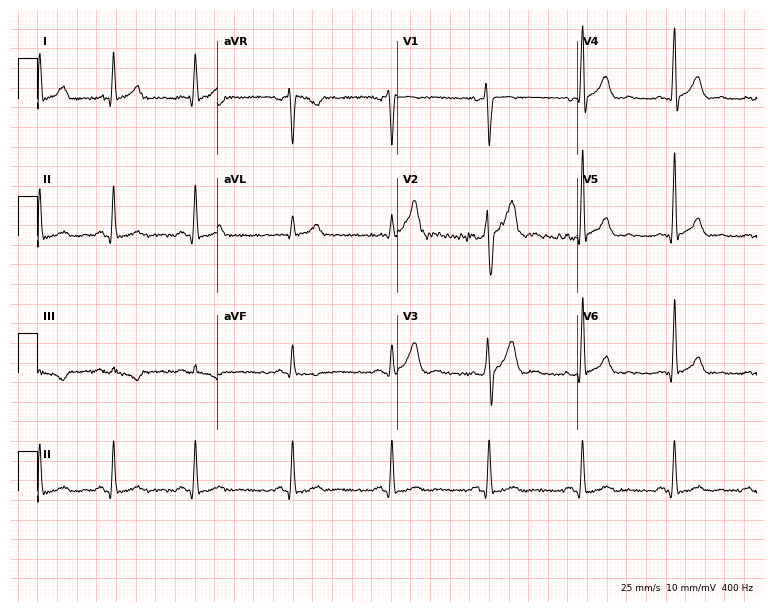
12-lead ECG from a 46-year-old male. Screened for six findings — first-degree AV block, right bundle branch block (RBBB), left bundle branch block (LBBB), sinus bradycardia, atrial fibrillation (AF), sinus tachycardia — none is recorded.